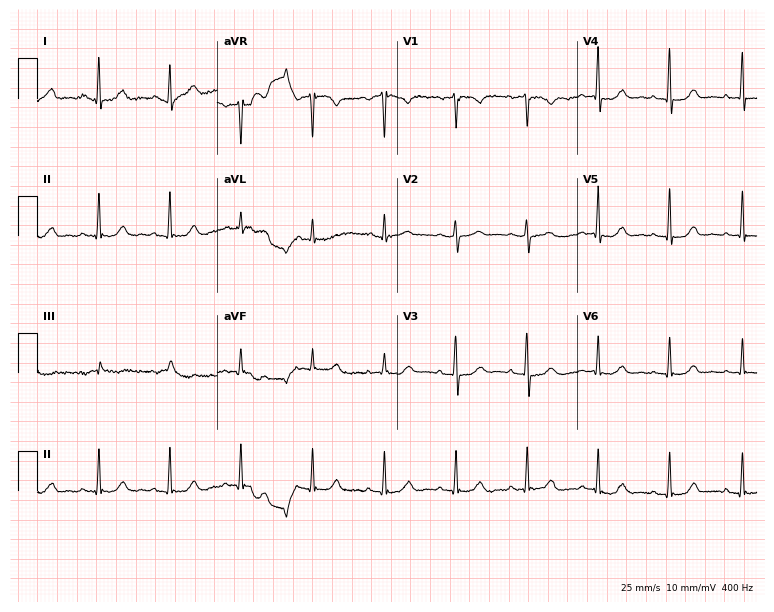
Standard 12-lead ECG recorded from a 65-year-old woman. Read as a normal ECG.